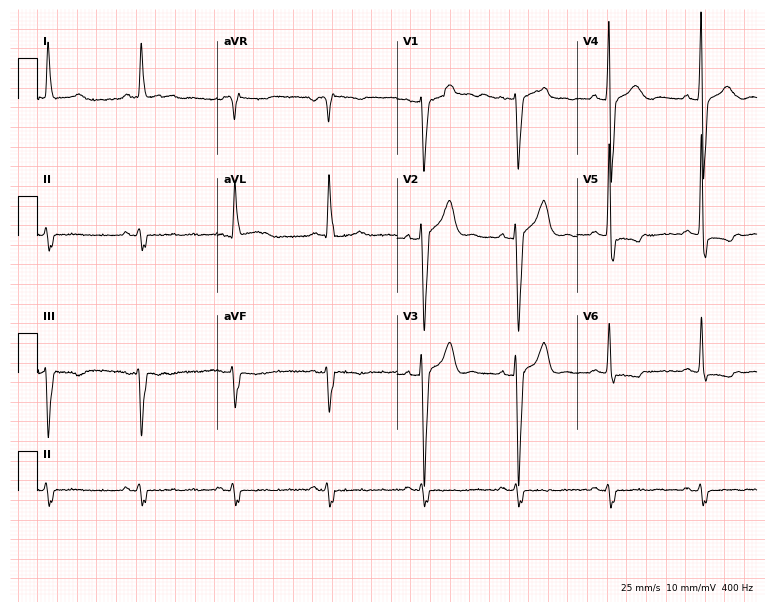
Standard 12-lead ECG recorded from a man, 80 years old. None of these six findings is recorded: first-degree AV block, right bundle branch block (RBBB), left bundle branch block (LBBB), sinus bradycardia, atrial fibrillation (AF), sinus tachycardia.